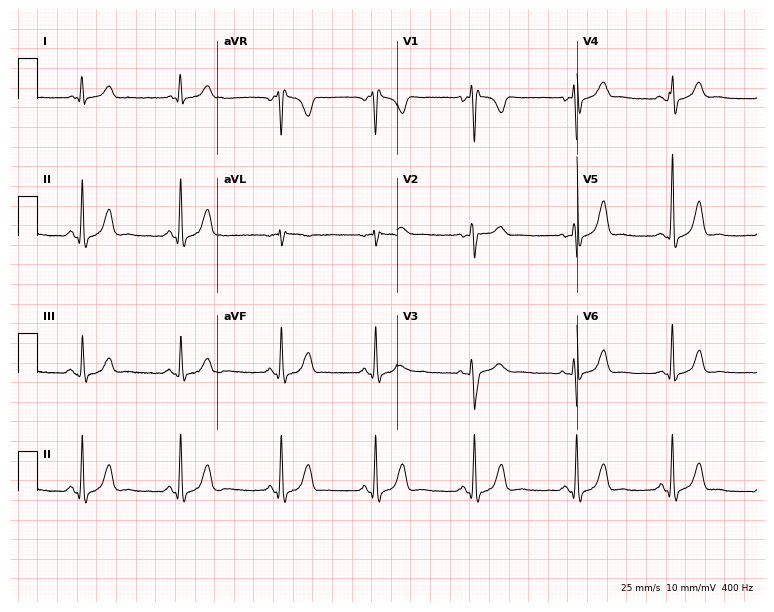
12-lead ECG (7.3-second recording at 400 Hz) from a woman, 33 years old. Screened for six findings — first-degree AV block, right bundle branch block, left bundle branch block, sinus bradycardia, atrial fibrillation, sinus tachycardia — none is recorded. Only these six findings were labelled.